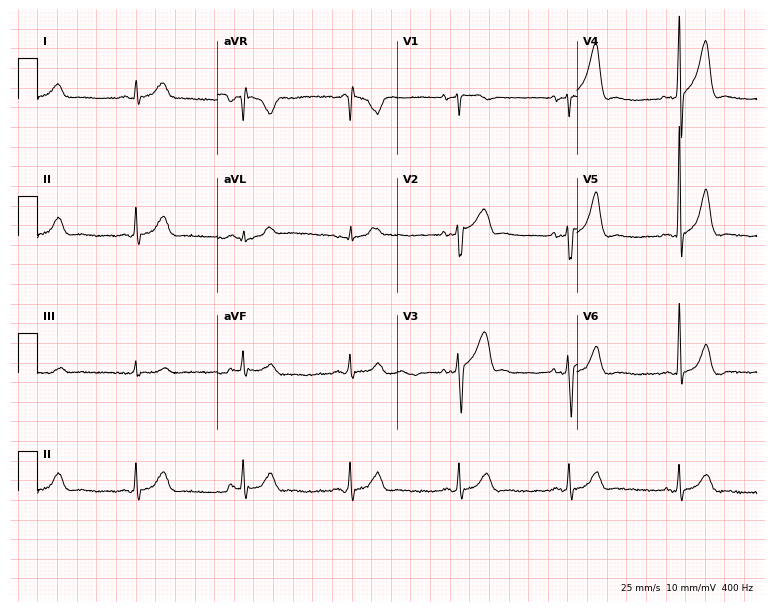
12-lead ECG from a man, 59 years old (7.3-second recording at 400 Hz). Recorded interpretation: within normal limits.